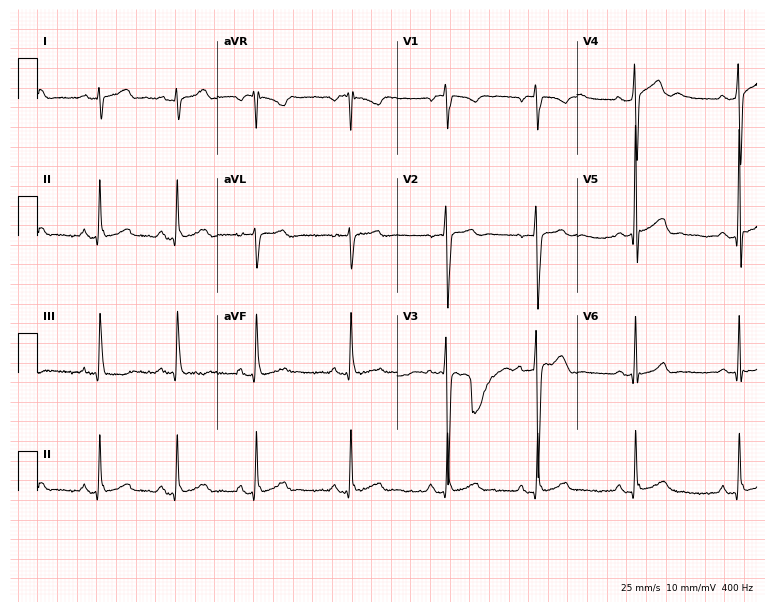
Electrocardiogram (7.3-second recording at 400 Hz), a 19-year-old male. Of the six screened findings (first-degree AV block, right bundle branch block, left bundle branch block, sinus bradycardia, atrial fibrillation, sinus tachycardia), none is recorded.